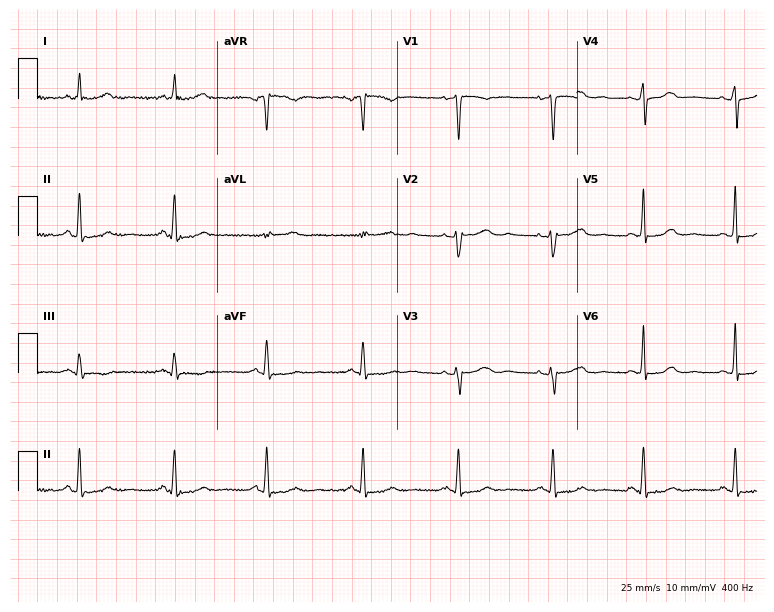
Resting 12-lead electrocardiogram. Patient: a female, 57 years old. Read as a normal ECG.